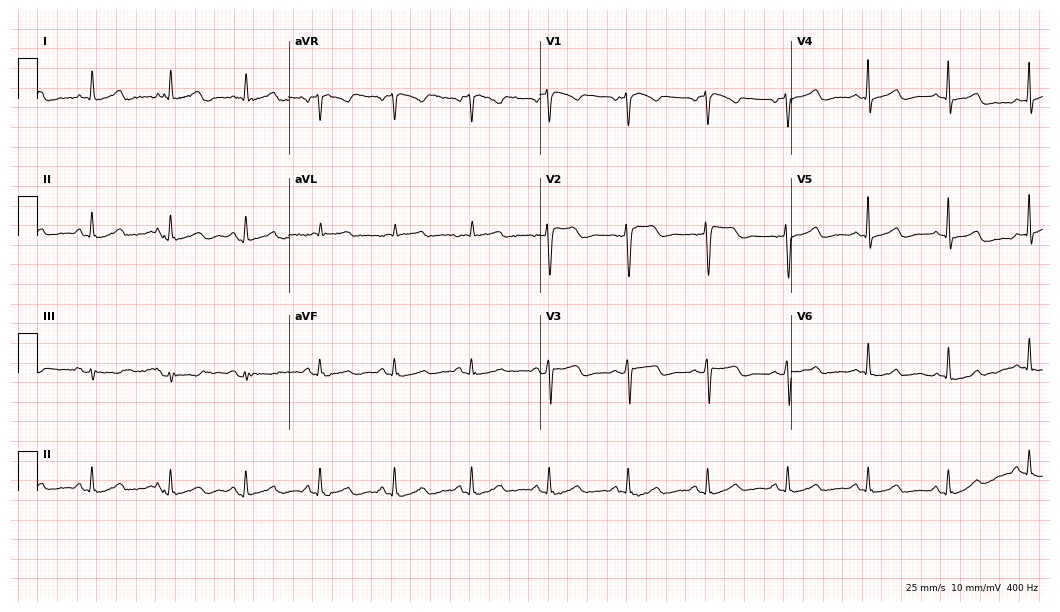
12-lead ECG (10.2-second recording at 400 Hz) from a 51-year-old woman. Labelled as a normal ECG.